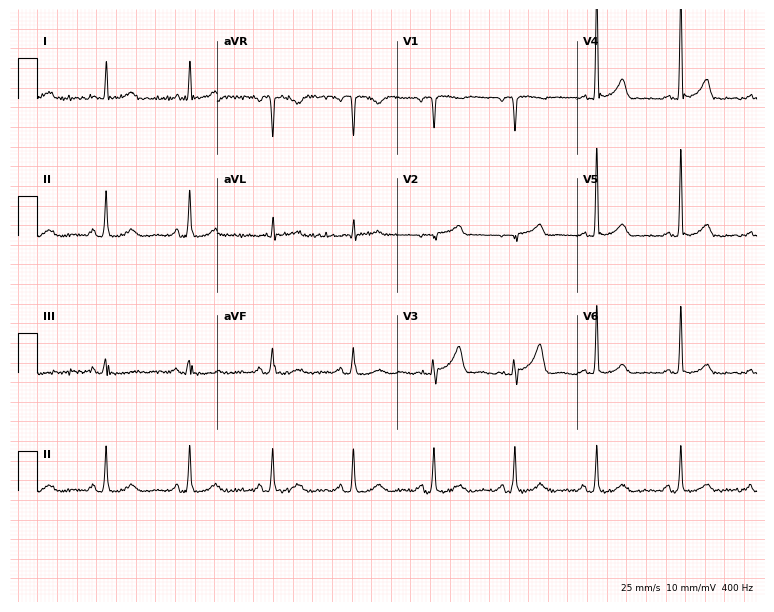
Resting 12-lead electrocardiogram (7.3-second recording at 400 Hz). Patient: a female, 62 years old. None of these six findings is recorded: first-degree AV block, right bundle branch block, left bundle branch block, sinus bradycardia, atrial fibrillation, sinus tachycardia.